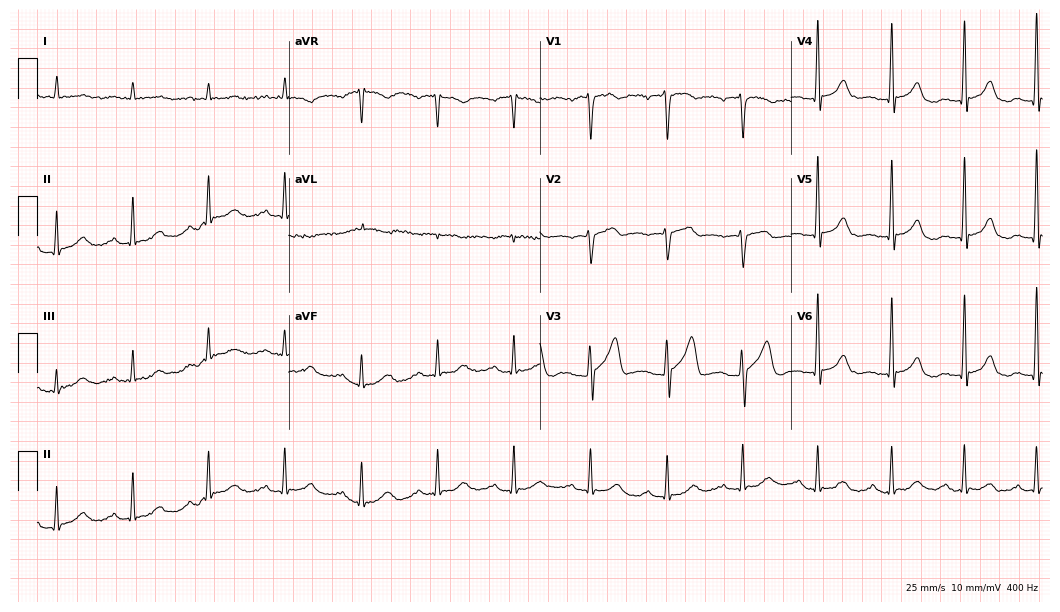
Resting 12-lead electrocardiogram (10.2-second recording at 400 Hz). Patient: a 75-year-old male. None of these six findings is recorded: first-degree AV block, right bundle branch block, left bundle branch block, sinus bradycardia, atrial fibrillation, sinus tachycardia. Only these six findings were labelled.